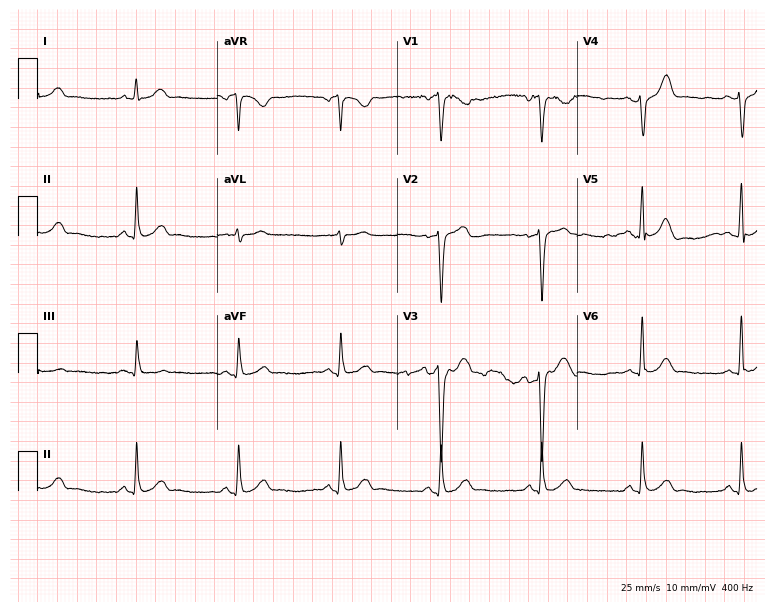
Electrocardiogram (7.3-second recording at 400 Hz), a man, 59 years old. Of the six screened findings (first-degree AV block, right bundle branch block, left bundle branch block, sinus bradycardia, atrial fibrillation, sinus tachycardia), none is recorded.